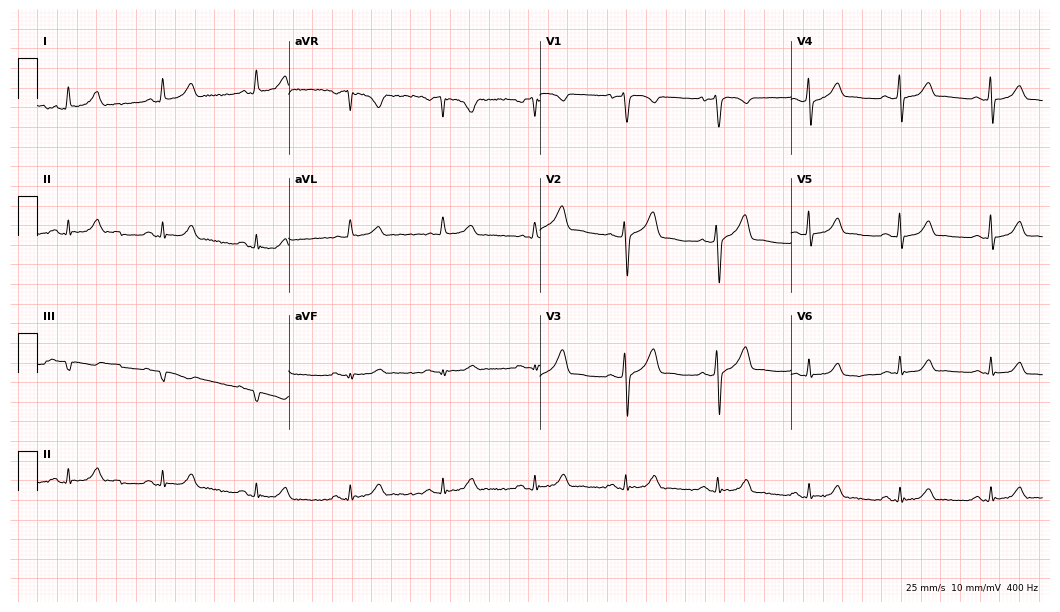
ECG — a 47-year-old woman. Labelled as a normal ECG.